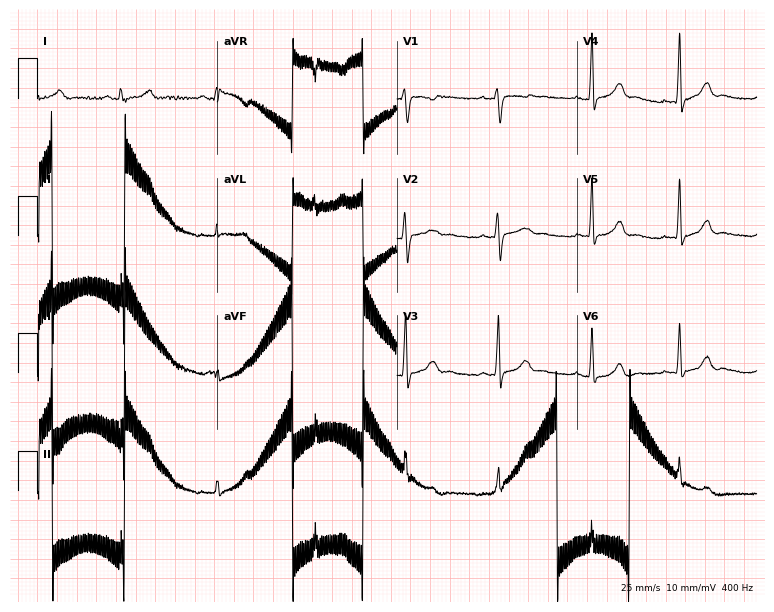
Standard 12-lead ECG recorded from a female, 18 years old (7.3-second recording at 400 Hz). None of these six findings is recorded: first-degree AV block, right bundle branch block (RBBB), left bundle branch block (LBBB), sinus bradycardia, atrial fibrillation (AF), sinus tachycardia.